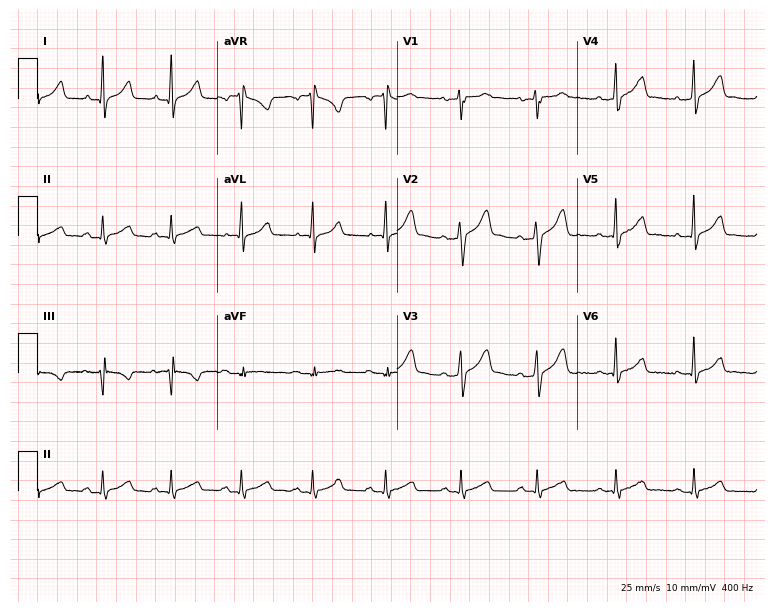
Standard 12-lead ECG recorded from a 28-year-old male. None of these six findings is recorded: first-degree AV block, right bundle branch block, left bundle branch block, sinus bradycardia, atrial fibrillation, sinus tachycardia. Findings outside these six are not listed.